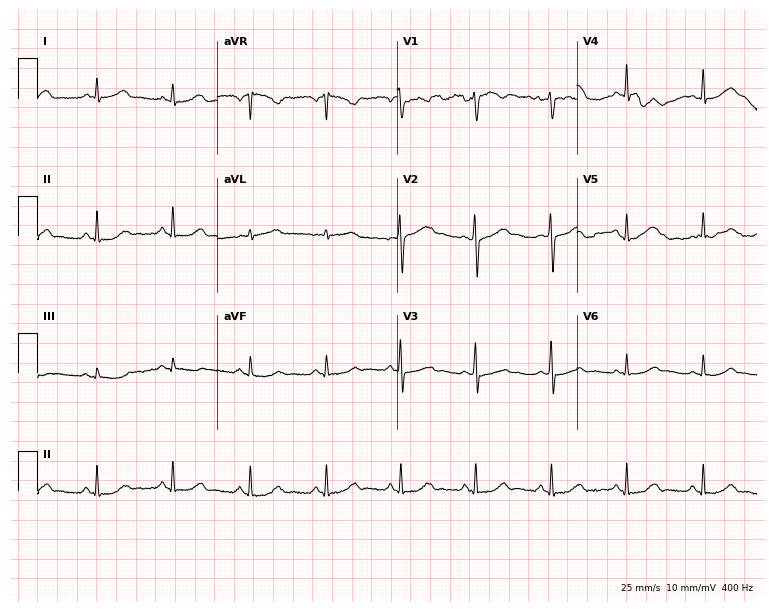
ECG (7.3-second recording at 400 Hz) — a 35-year-old woman. Labelled as a normal ECG.